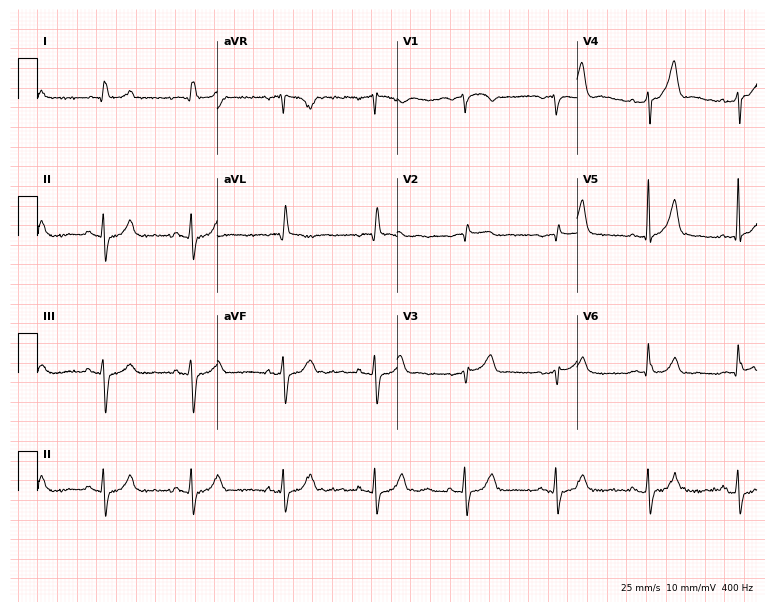
12-lead ECG (7.3-second recording at 400 Hz) from a 69-year-old male patient. Screened for six findings — first-degree AV block, right bundle branch block, left bundle branch block, sinus bradycardia, atrial fibrillation, sinus tachycardia — none is recorded.